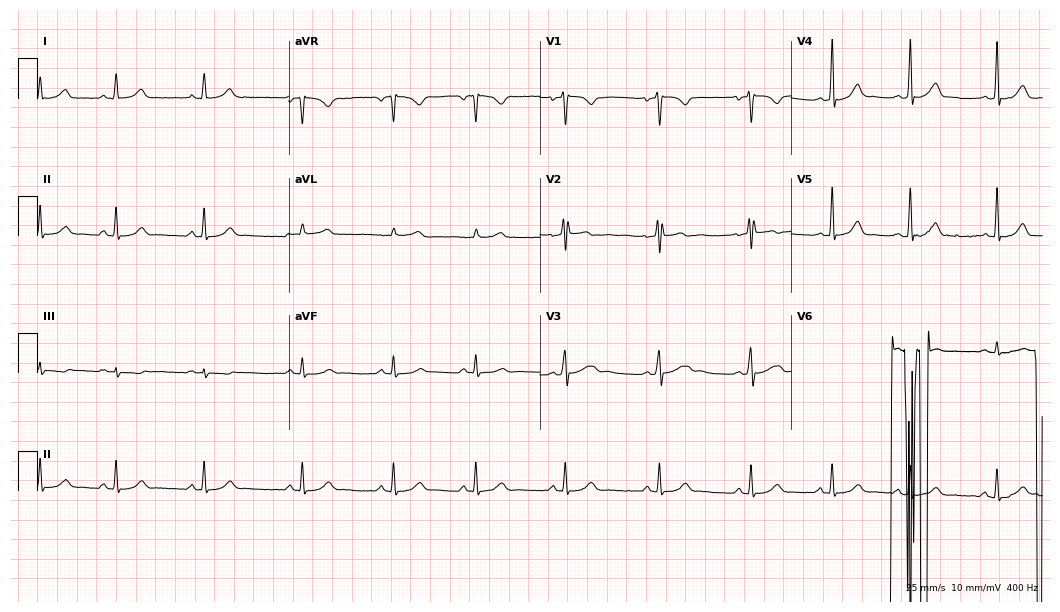
Electrocardiogram, a 23-year-old female. Of the six screened findings (first-degree AV block, right bundle branch block, left bundle branch block, sinus bradycardia, atrial fibrillation, sinus tachycardia), none is recorded.